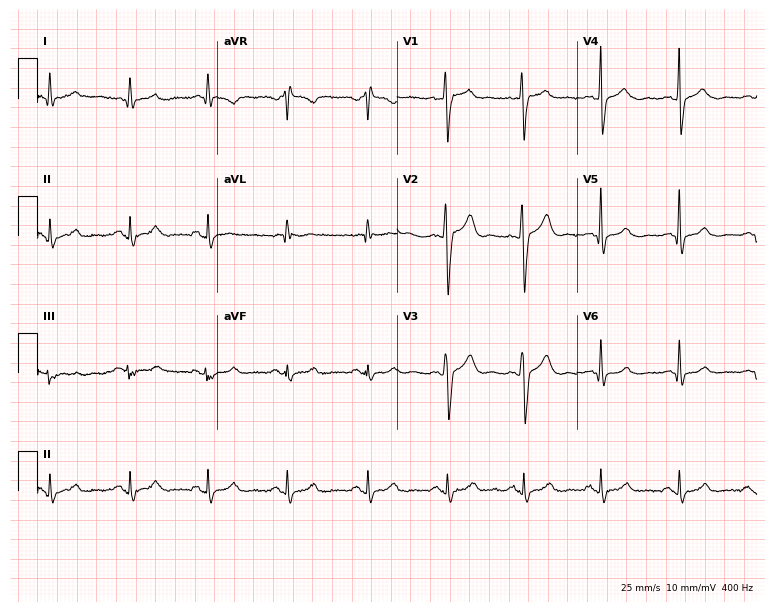
Electrocardiogram (7.3-second recording at 400 Hz), a 42-year-old male patient. Of the six screened findings (first-degree AV block, right bundle branch block (RBBB), left bundle branch block (LBBB), sinus bradycardia, atrial fibrillation (AF), sinus tachycardia), none is recorded.